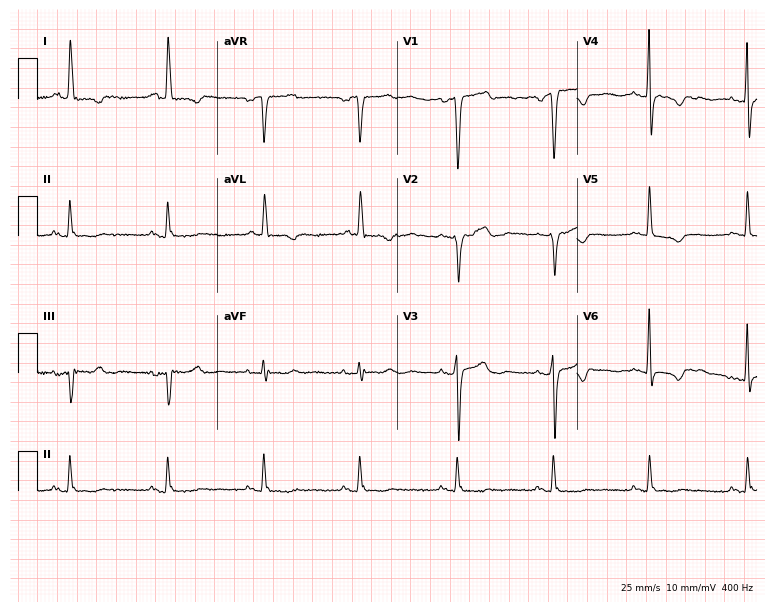
12-lead ECG (7.3-second recording at 400 Hz) from a woman, 62 years old. Screened for six findings — first-degree AV block, right bundle branch block, left bundle branch block, sinus bradycardia, atrial fibrillation, sinus tachycardia — none is recorded.